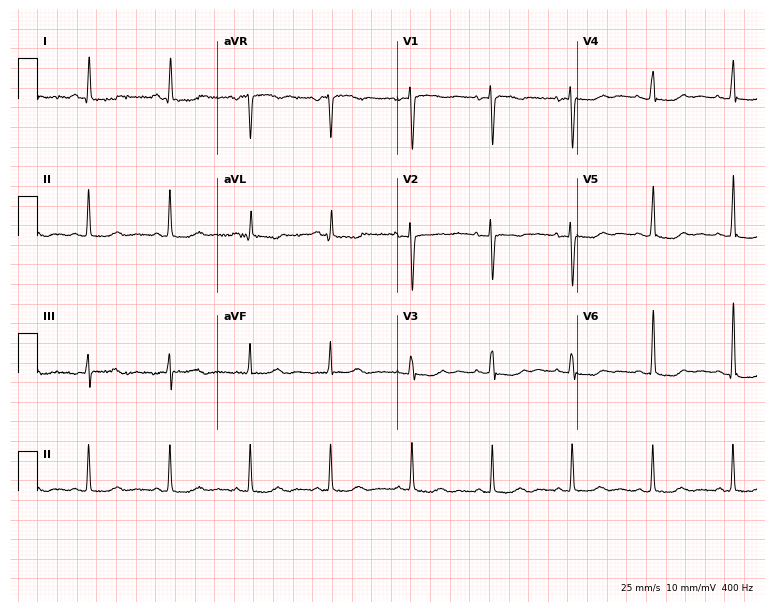
Standard 12-lead ECG recorded from a 51-year-old woman. None of these six findings is recorded: first-degree AV block, right bundle branch block (RBBB), left bundle branch block (LBBB), sinus bradycardia, atrial fibrillation (AF), sinus tachycardia. Other findings, if any, are not listed.